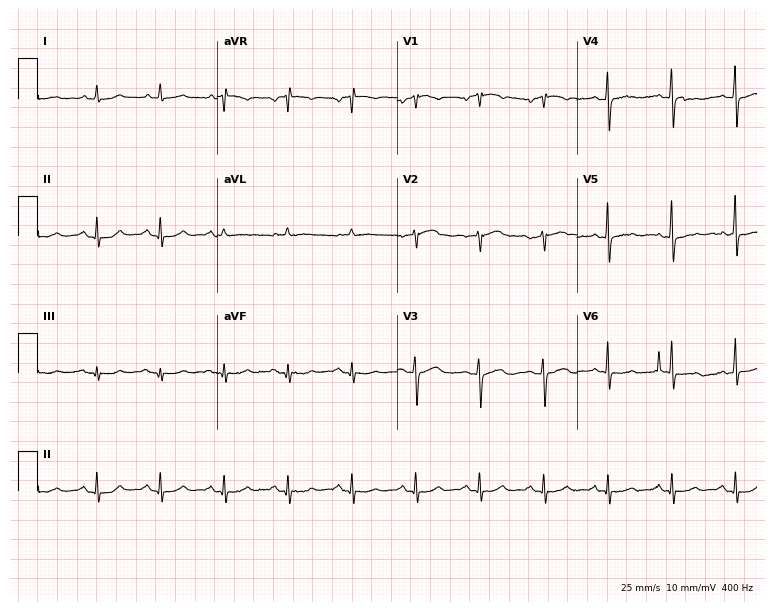
Resting 12-lead electrocardiogram. Patient: a 68-year-old female. None of these six findings is recorded: first-degree AV block, right bundle branch block, left bundle branch block, sinus bradycardia, atrial fibrillation, sinus tachycardia.